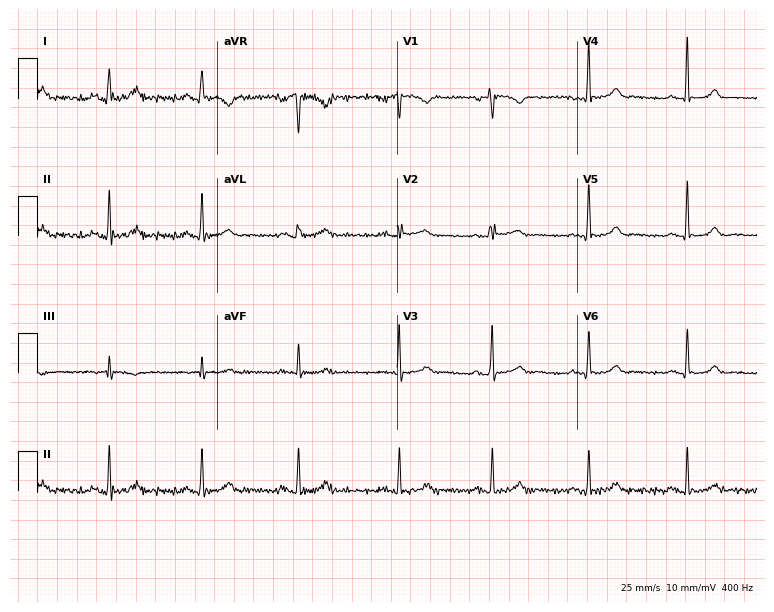
Electrocardiogram (7.3-second recording at 400 Hz), a female patient, 48 years old. Overall reading on record: normal ECG.